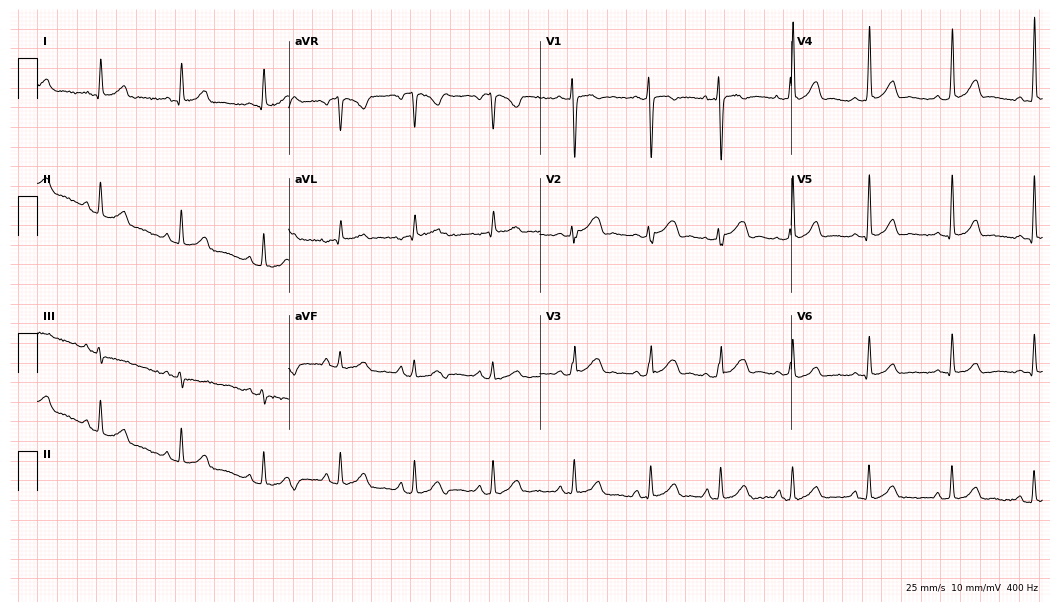
Electrocardiogram, a 28-year-old female. Of the six screened findings (first-degree AV block, right bundle branch block (RBBB), left bundle branch block (LBBB), sinus bradycardia, atrial fibrillation (AF), sinus tachycardia), none is recorded.